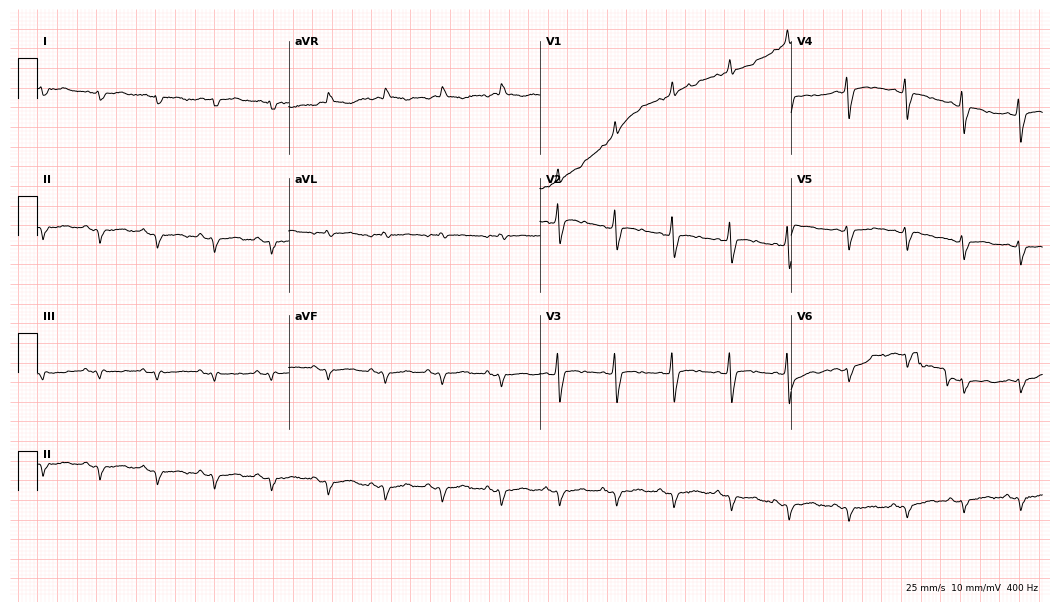
12-lead ECG from a female, 84 years old. Findings include sinus tachycardia (a sinus rate of 100 beats per minute or more).